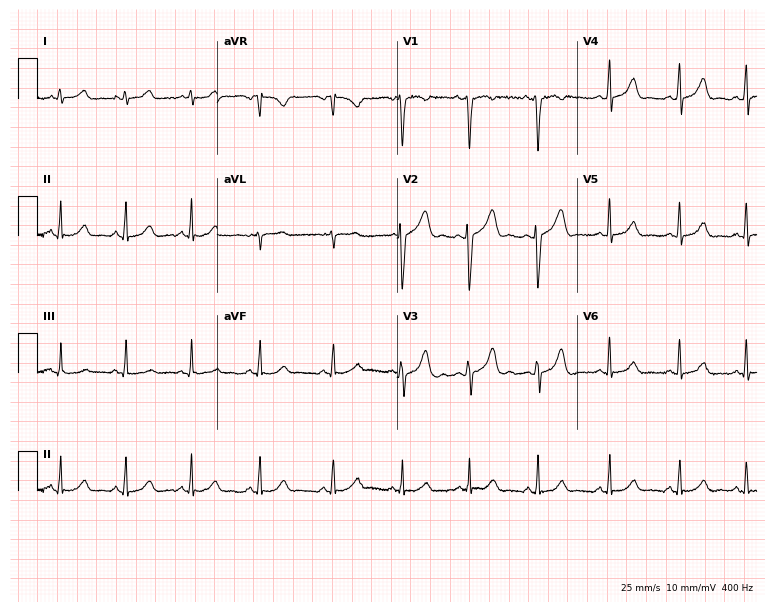
Electrocardiogram, a 23-year-old female. Of the six screened findings (first-degree AV block, right bundle branch block, left bundle branch block, sinus bradycardia, atrial fibrillation, sinus tachycardia), none is recorded. Only these six findings were labelled.